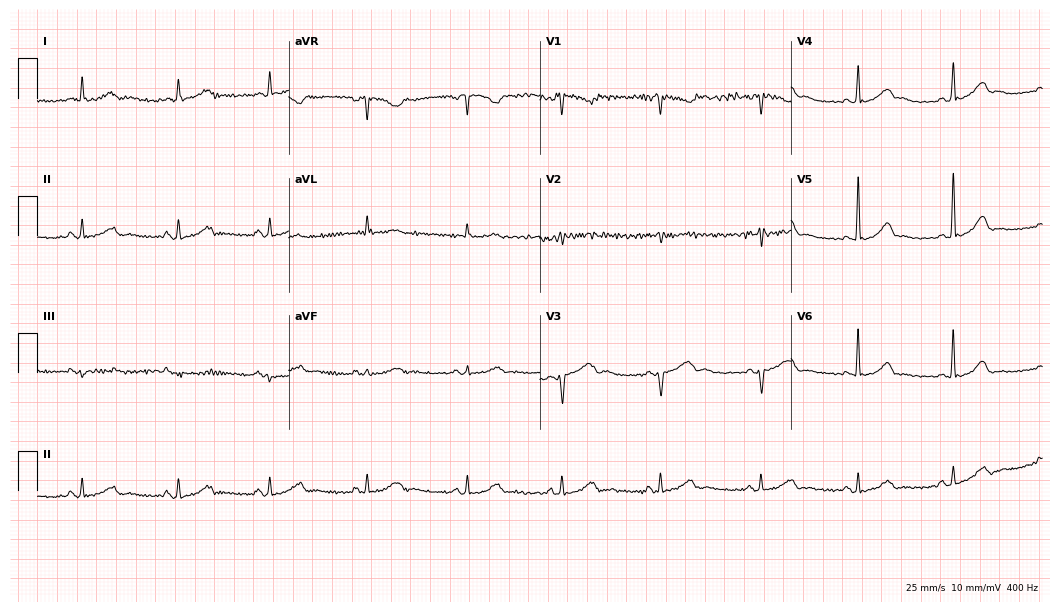
Electrocardiogram (10.2-second recording at 400 Hz), a 46-year-old female patient. Of the six screened findings (first-degree AV block, right bundle branch block, left bundle branch block, sinus bradycardia, atrial fibrillation, sinus tachycardia), none is recorded. Other findings, if any, are not listed.